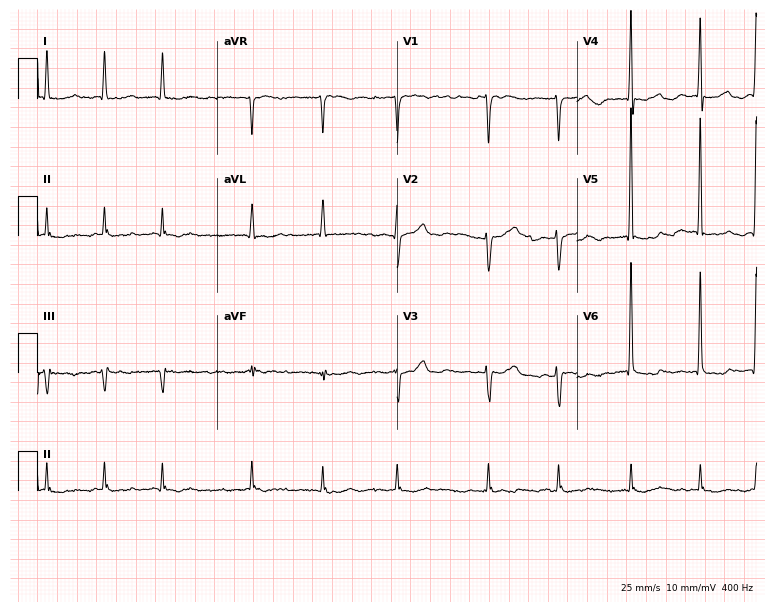
ECG — a 74-year-old female. Findings include atrial fibrillation (AF).